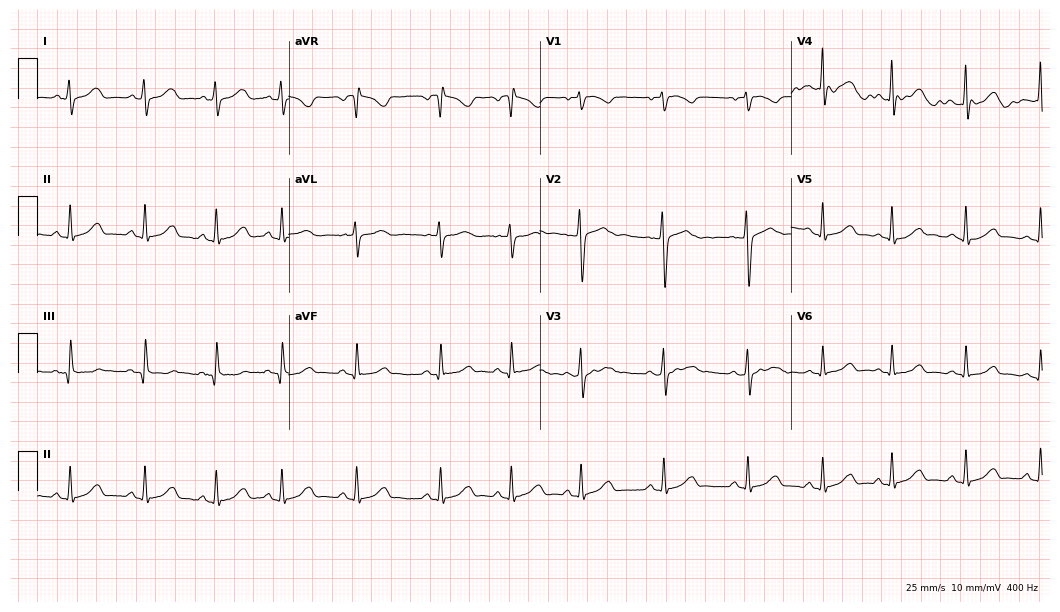
12-lead ECG from a 20-year-old woman. Recorded interpretation: within normal limits.